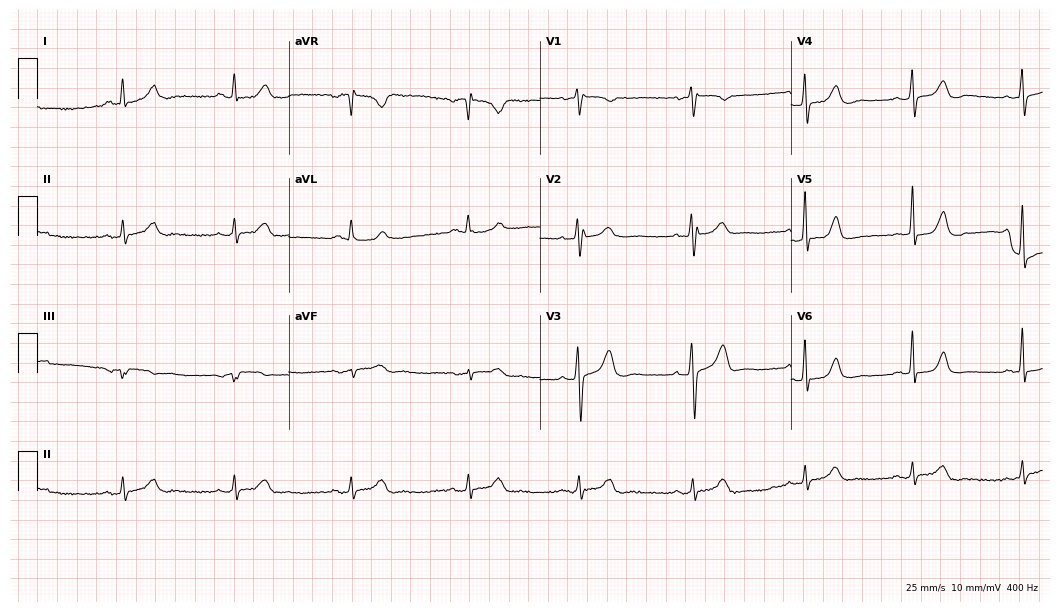
ECG (10.2-second recording at 400 Hz) — a female patient, 81 years old. Screened for six findings — first-degree AV block, right bundle branch block (RBBB), left bundle branch block (LBBB), sinus bradycardia, atrial fibrillation (AF), sinus tachycardia — none is recorded.